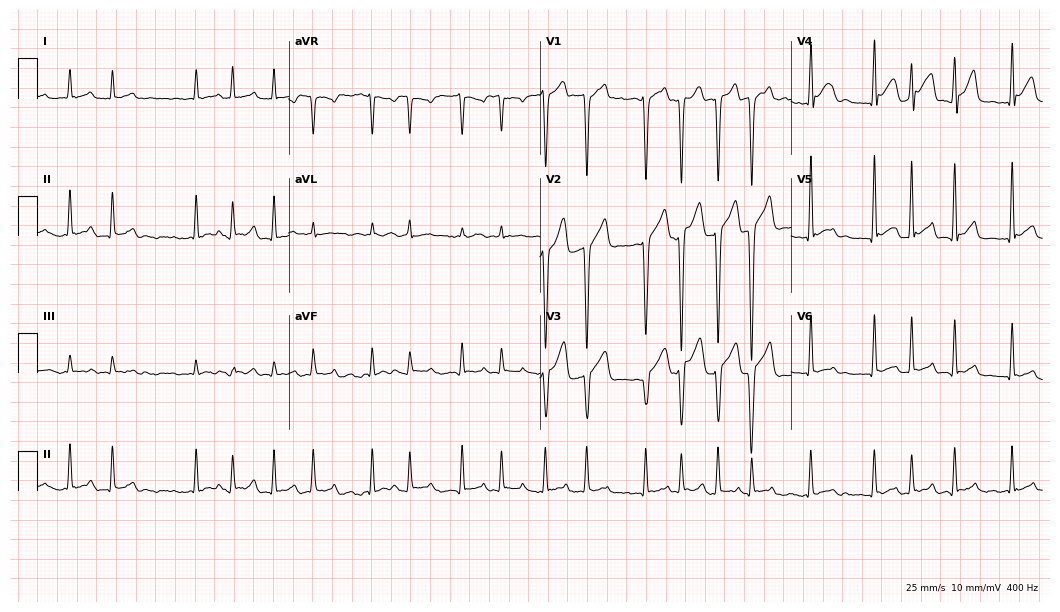
ECG — a male, 43 years old. Findings include atrial fibrillation.